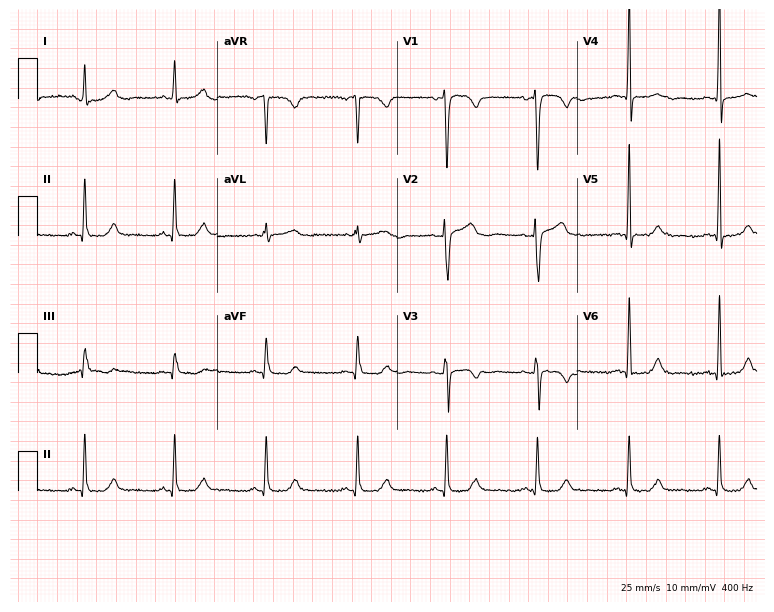
Resting 12-lead electrocardiogram (7.3-second recording at 400 Hz). Patient: a woman, 41 years old. Read as a normal ECG.